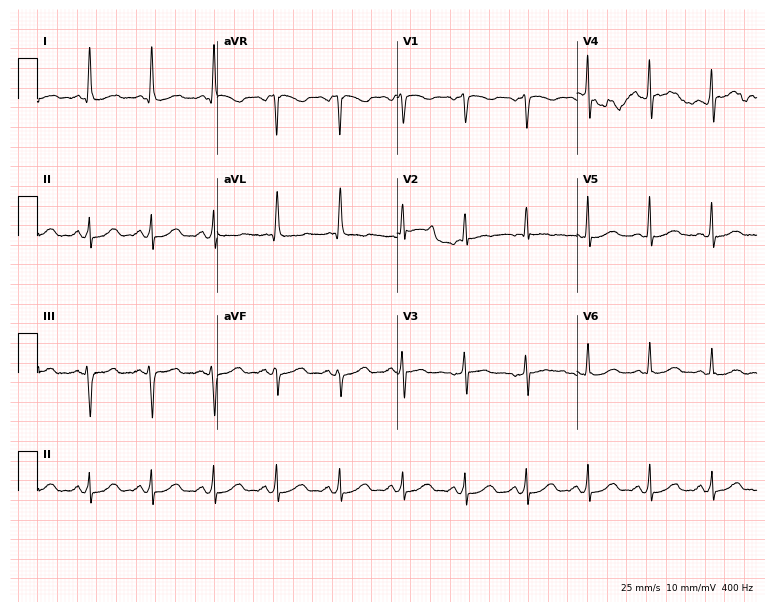
ECG — a 45-year-old woman. Screened for six findings — first-degree AV block, right bundle branch block, left bundle branch block, sinus bradycardia, atrial fibrillation, sinus tachycardia — none is recorded.